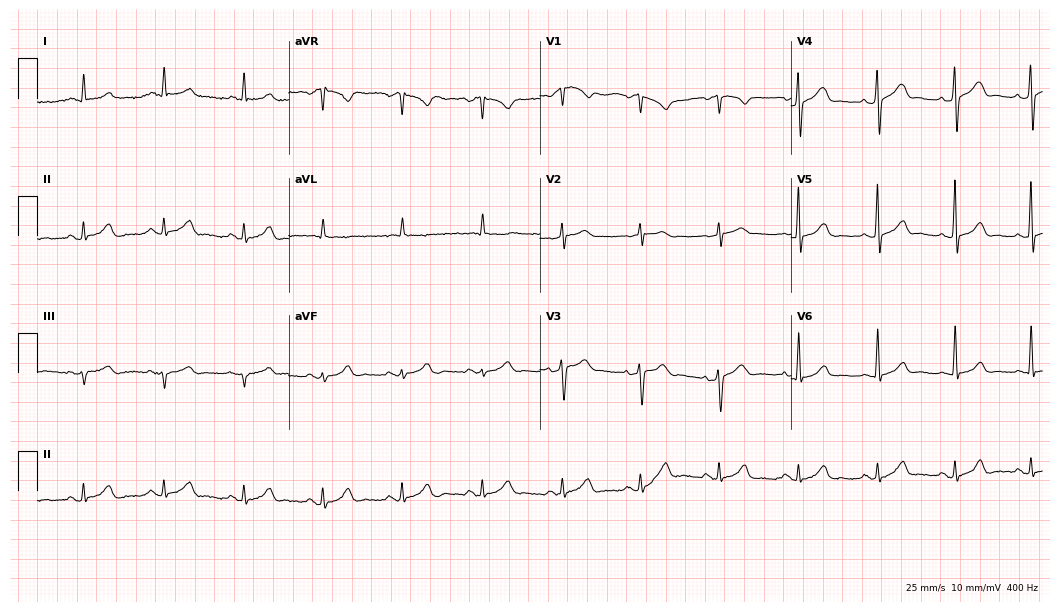
12-lead ECG from a male patient, 60 years old (10.2-second recording at 400 Hz). Recorded interpretation: within normal limits.